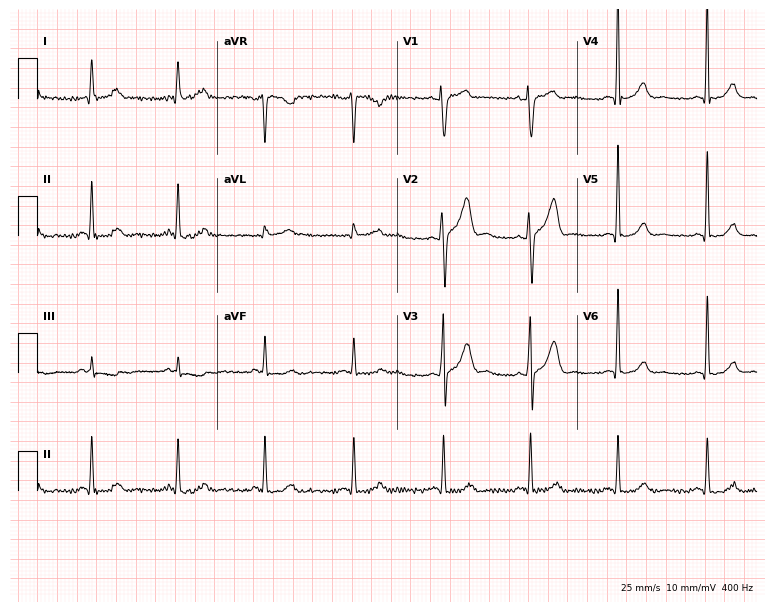
Standard 12-lead ECG recorded from a 39-year-old man. Read as a normal ECG.